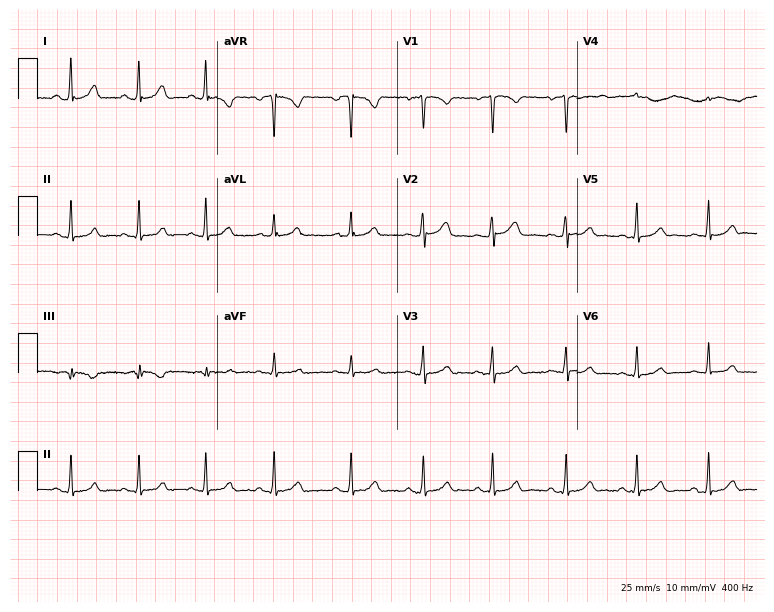
Standard 12-lead ECG recorded from a female patient, 28 years old (7.3-second recording at 400 Hz). Read as a normal ECG.